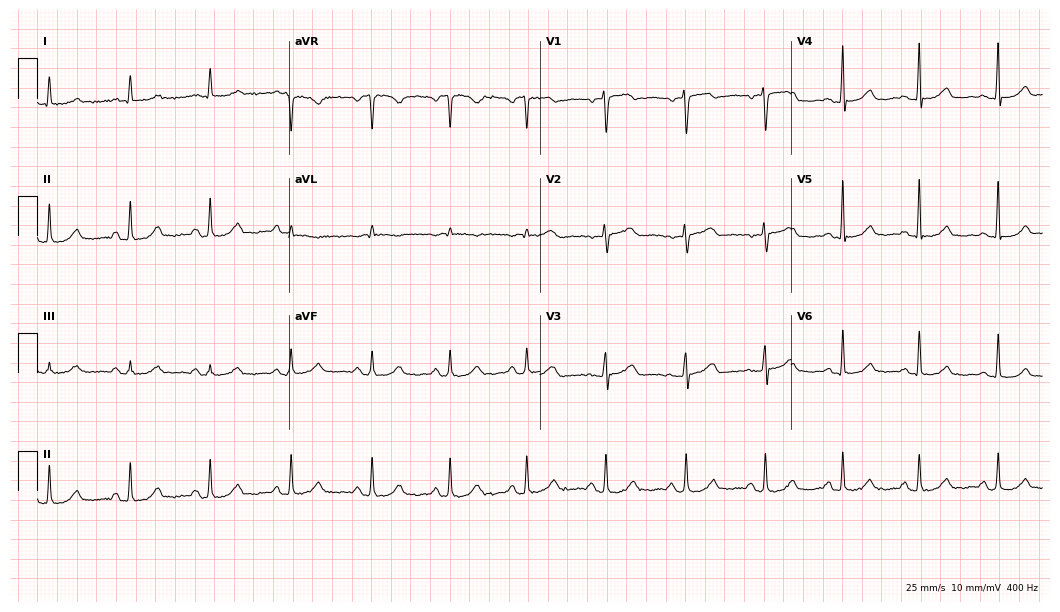
12-lead ECG from a 67-year-old woman (10.2-second recording at 400 Hz). Recorded interpretation: within normal limits.